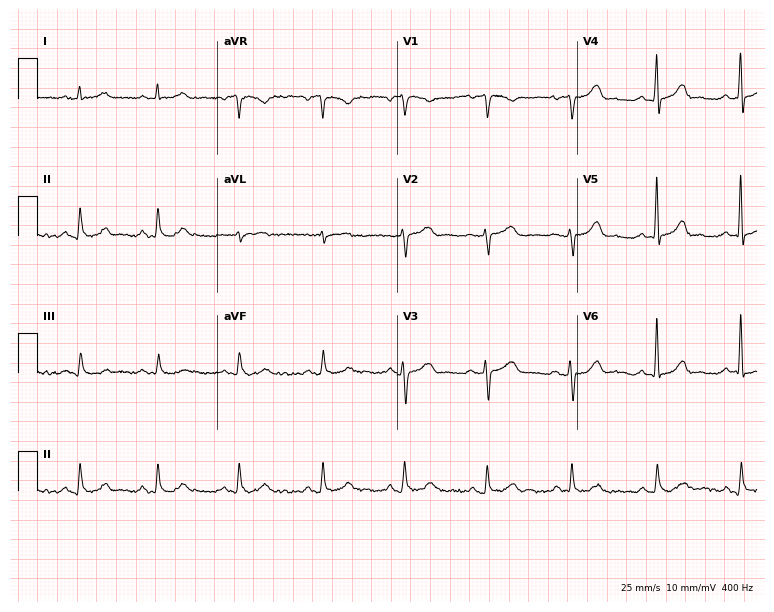
ECG (7.3-second recording at 400 Hz) — a female patient, 60 years old. Labelled as a normal ECG.